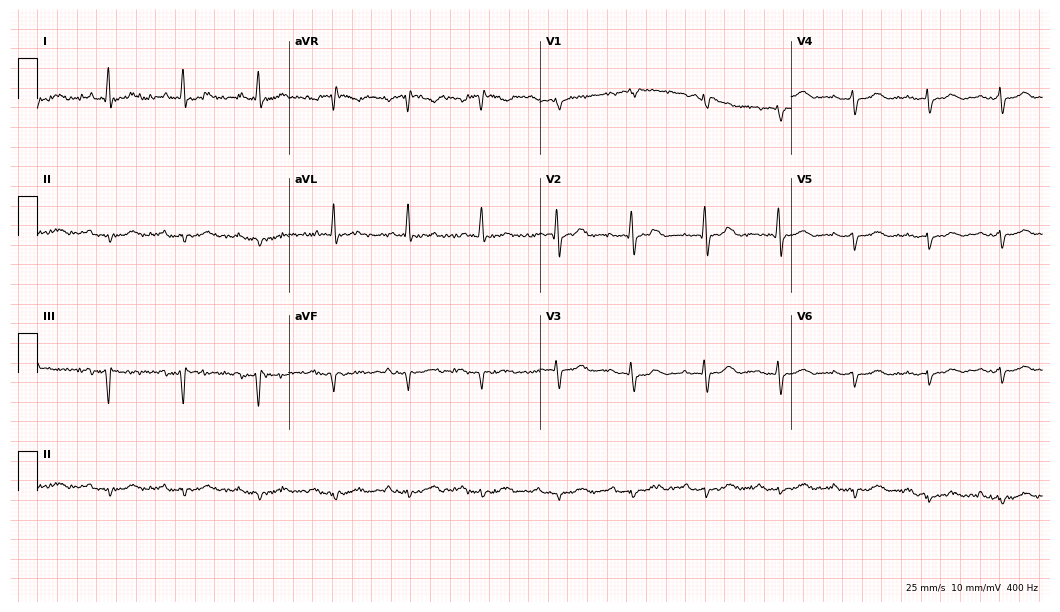
Resting 12-lead electrocardiogram. Patient: an 82-year-old female. None of these six findings is recorded: first-degree AV block, right bundle branch block (RBBB), left bundle branch block (LBBB), sinus bradycardia, atrial fibrillation (AF), sinus tachycardia.